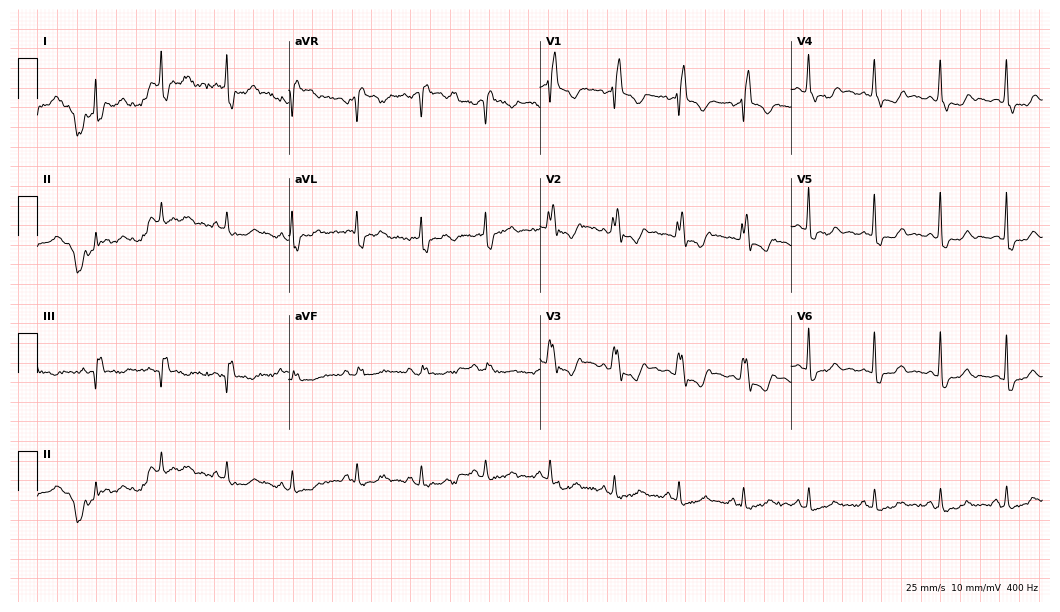
Resting 12-lead electrocardiogram (10.2-second recording at 400 Hz). Patient: a 52-year-old female. None of these six findings is recorded: first-degree AV block, right bundle branch block (RBBB), left bundle branch block (LBBB), sinus bradycardia, atrial fibrillation (AF), sinus tachycardia.